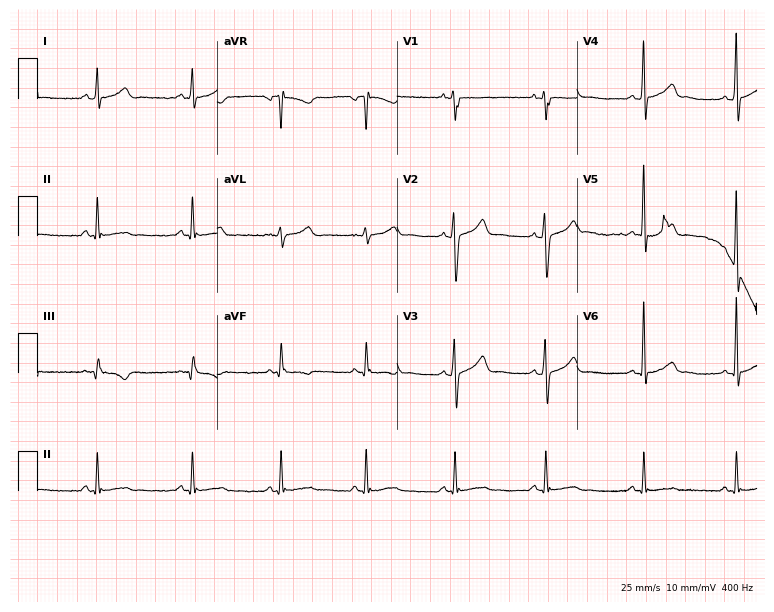
ECG — a 26-year-old male patient. Labelled as a normal ECG.